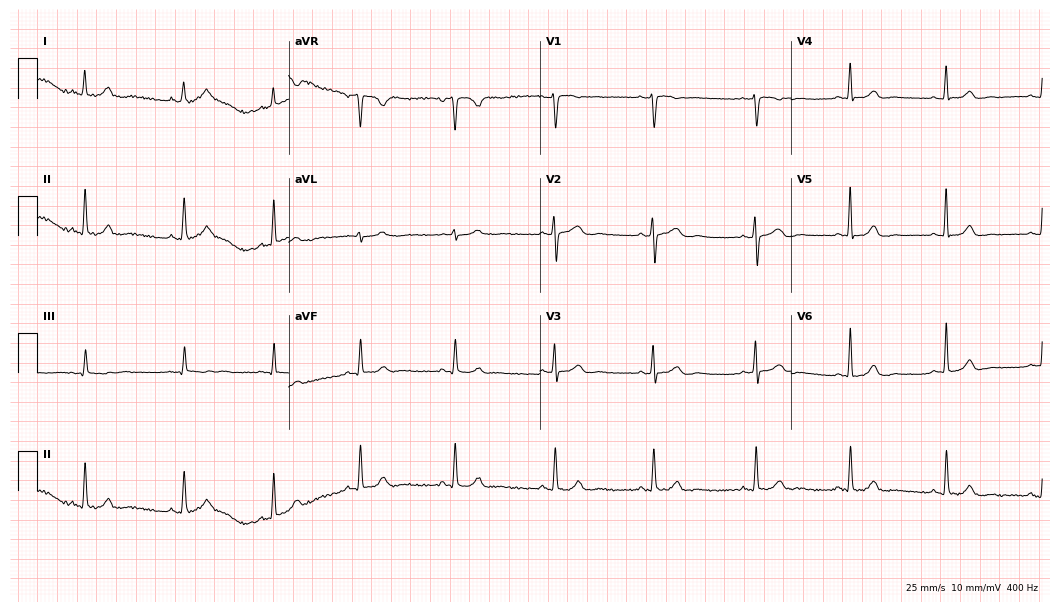
Resting 12-lead electrocardiogram. Patient: a female, 37 years old. Read as a normal ECG.